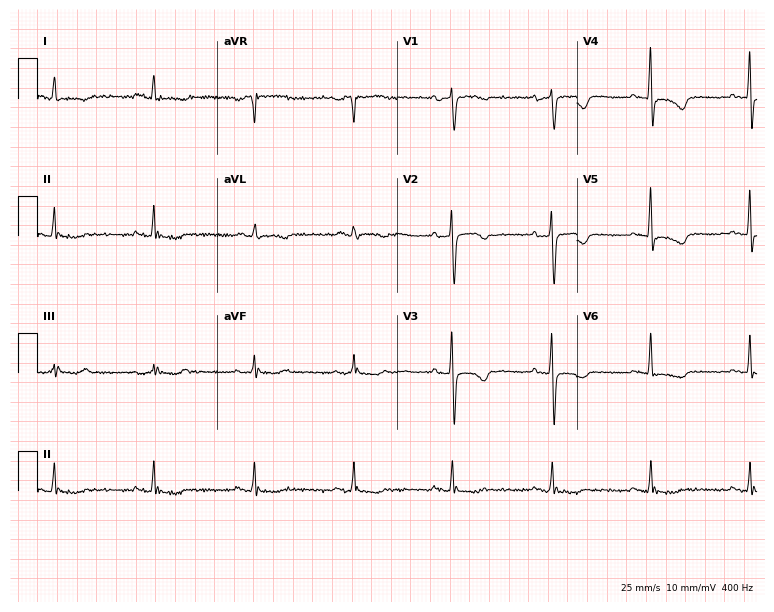
Electrocardiogram (7.3-second recording at 400 Hz), a 66-year-old female. Of the six screened findings (first-degree AV block, right bundle branch block, left bundle branch block, sinus bradycardia, atrial fibrillation, sinus tachycardia), none is recorded.